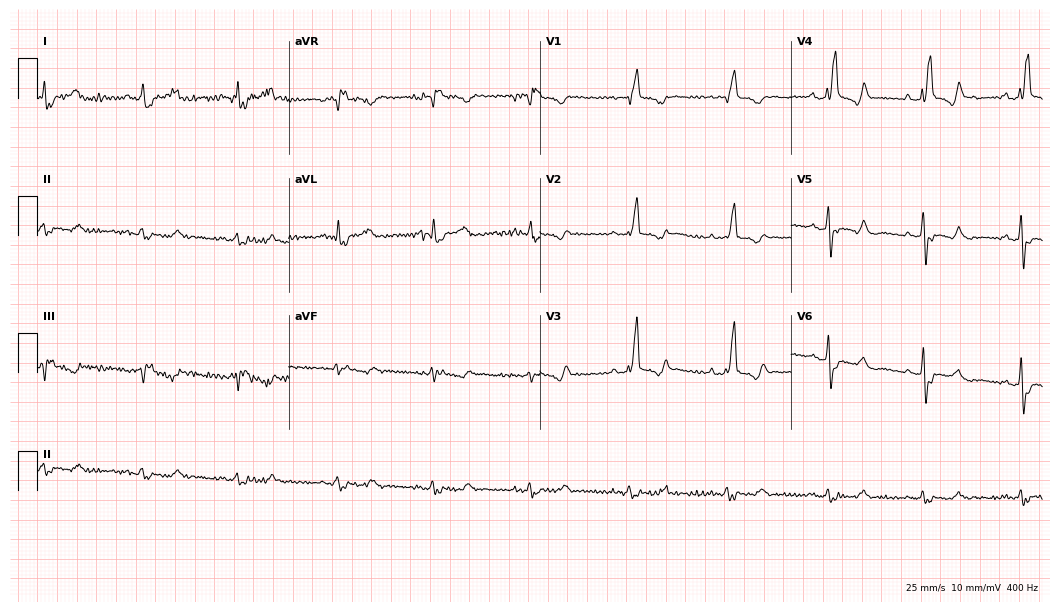
ECG — a female patient, 76 years old. Screened for six findings — first-degree AV block, right bundle branch block, left bundle branch block, sinus bradycardia, atrial fibrillation, sinus tachycardia — none is recorded. Other findings, if any, are not listed.